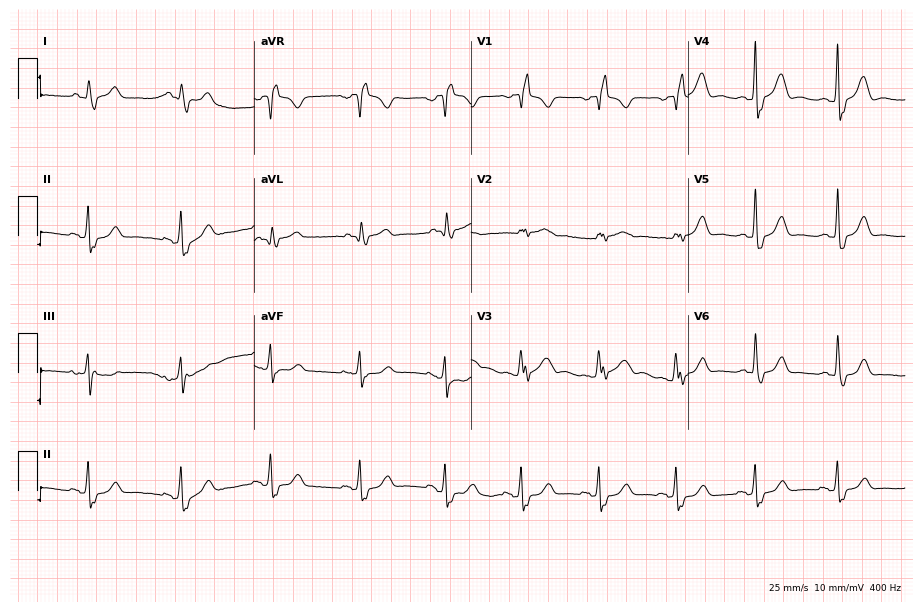
12-lead ECG from a 42-year-old female patient (8.8-second recording at 400 Hz). Shows right bundle branch block (RBBB).